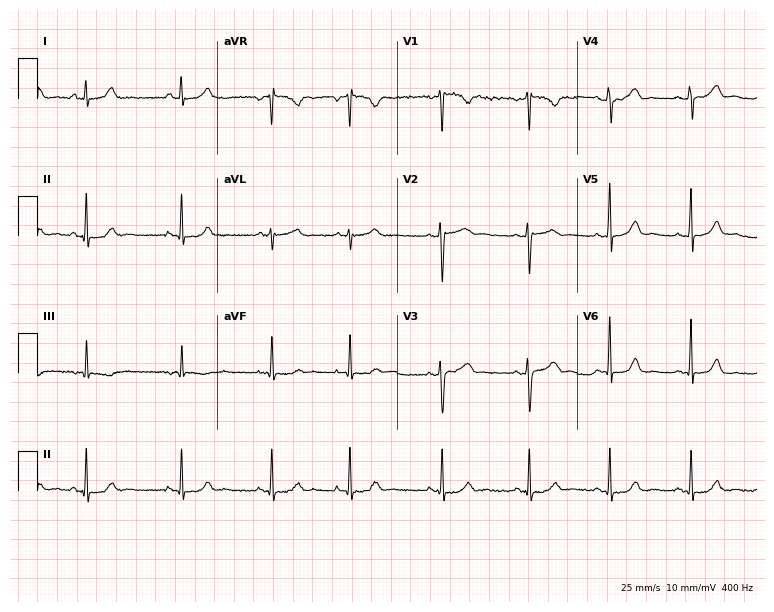
Electrocardiogram, a woman, 37 years old. Of the six screened findings (first-degree AV block, right bundle branch block, left bundle branch block, sinus bradycardia, atrial fibrillation, sinus tachycardia), none is recorded.